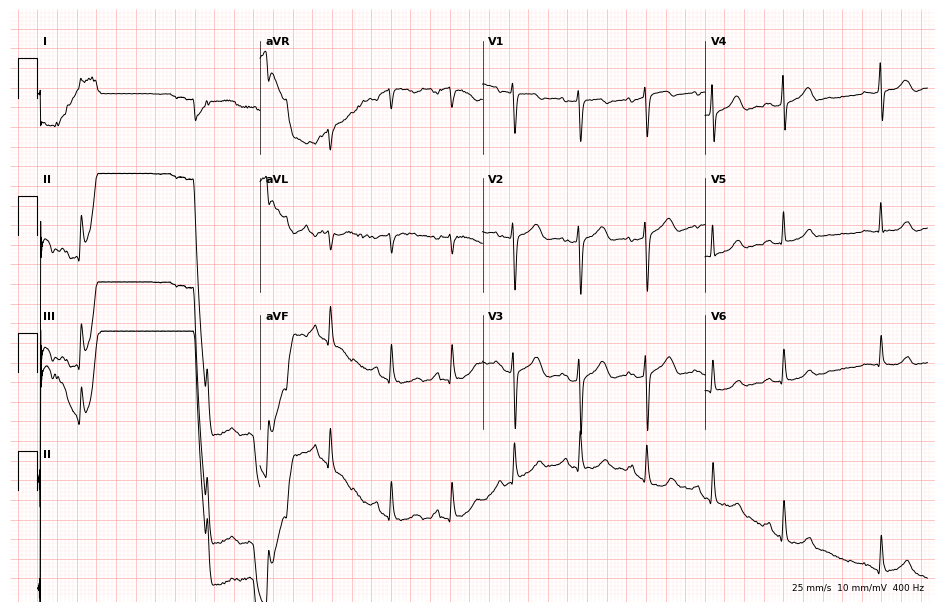
Standard 12-lead ECG recorded from a female patient, 58 years old (9.1-second recording at 400 Hz). None of these six findings is recorded: first-degree AV block, right bundle branch block (RBBB), left bundle branch block (LBBB), sinus bradycardia, atrial fibrillation (AF), sinus tachycardia.